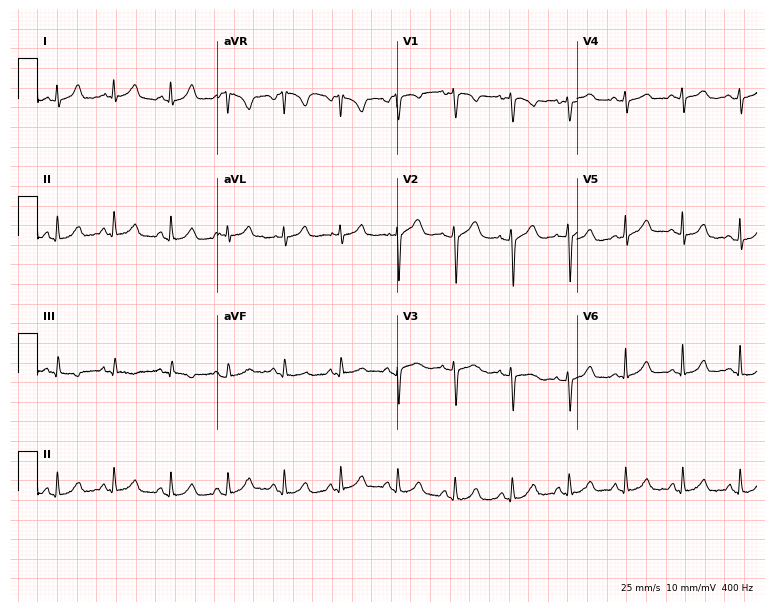
Resting 12-lead electrocardiogram (7.3-second recording at 400 Hz). Patient: a 21-year-old woman. Read as a normal ECG.